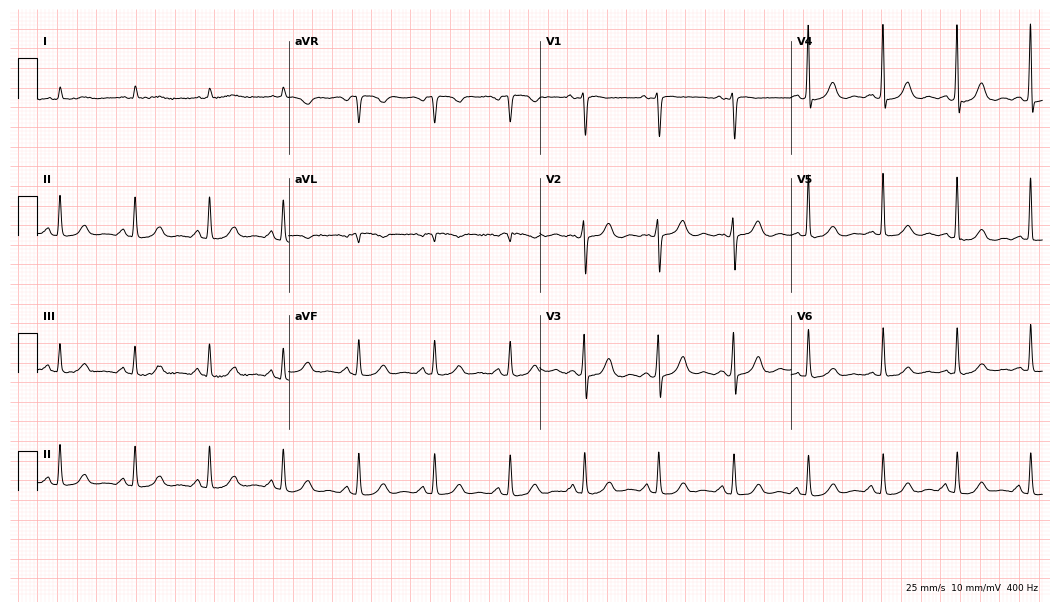
ECG — a woman, 79 years old. Labelled as a normal ECG.